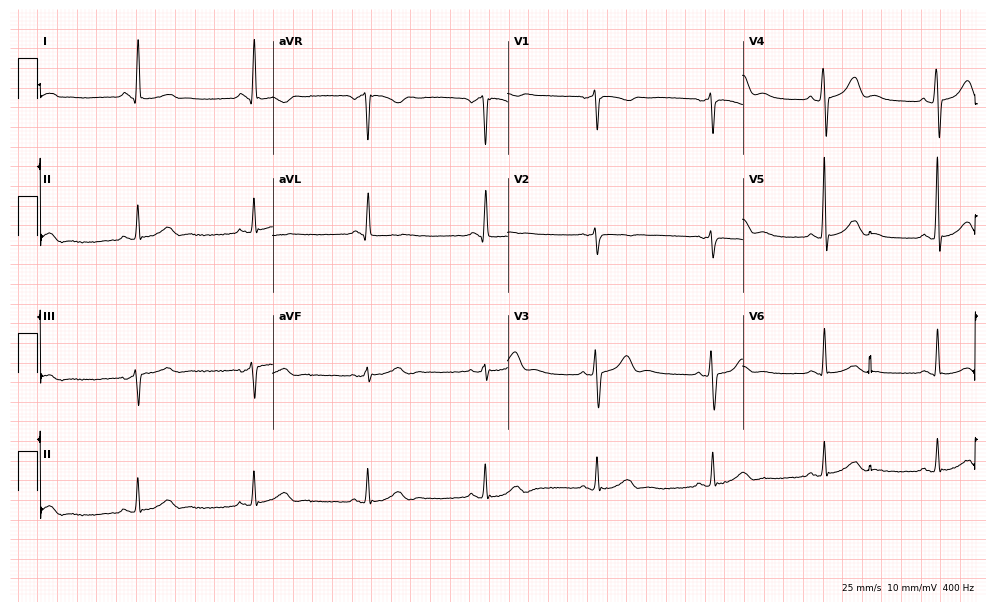
12-lead ECG from a 58-year-old female patient. Screened for six findings — first-degree AV block, right bundle branch block, left bundle branch block, sinus bradycardia, atrial fibrillation, sinus tachycardia — none is recorded.